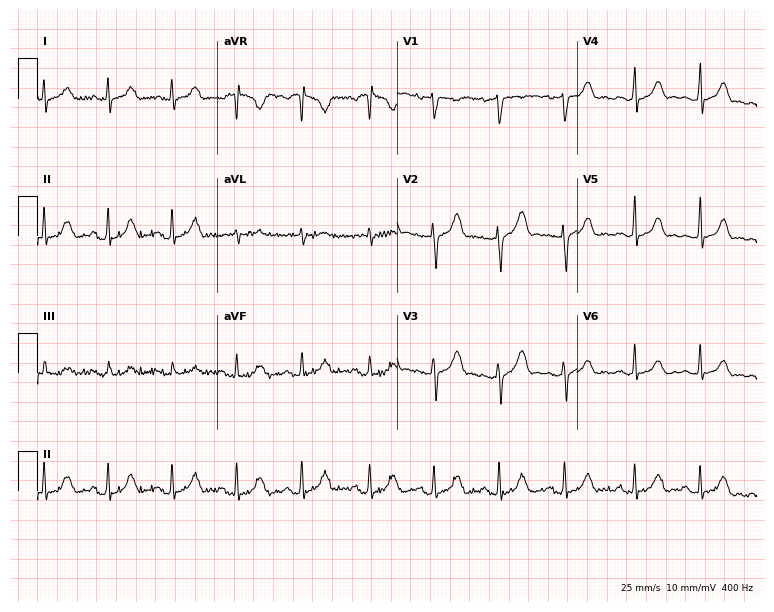
12-lead ECG (7.3-second recording at 400 Hz) from a 25-year-old female. Labelled as a normal ECG.